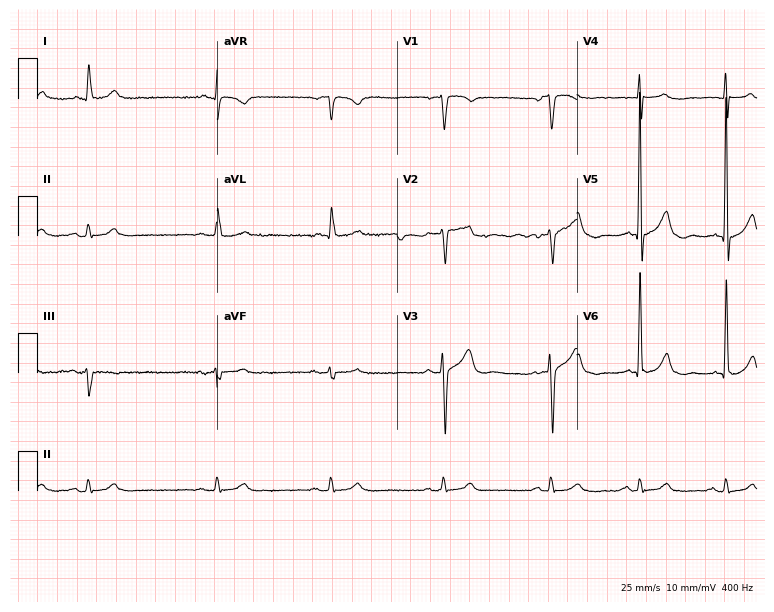
12-lead ECG from an 83-year-old male patient. Recorded interpretation: within normal limits.